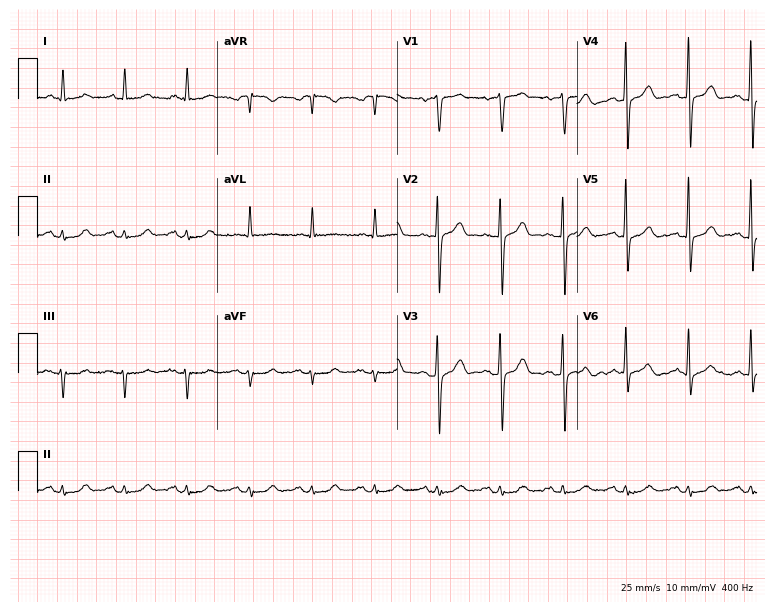
ECG (7.3-second recording at 400 Hz) — a male, 82 years old. Labelled as a normal ECG.